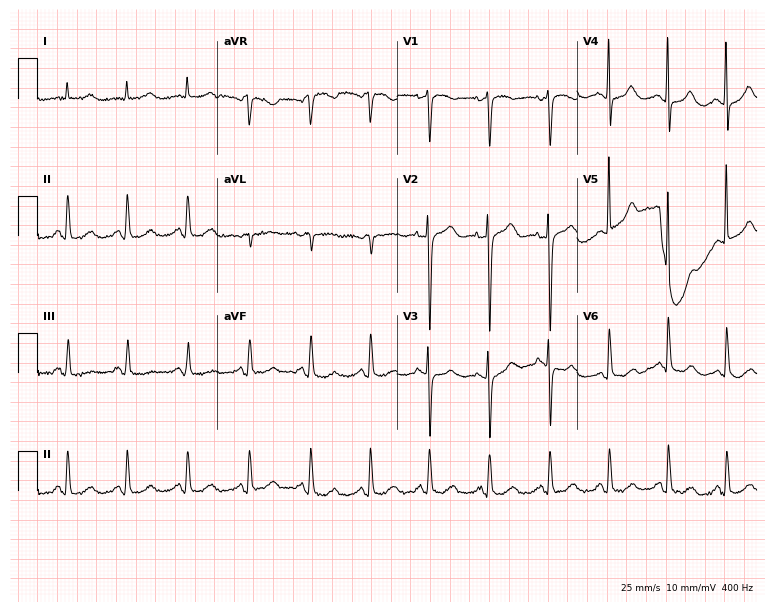
ECG — an 83-year-old woman. Screened for six findings — first-degree AV block, right bundle branch block, left bundle branch block, sinus bradycardia, atrial fibrillation, sinus tachycardia — none is recorded. Other findings, if any, are not listed.